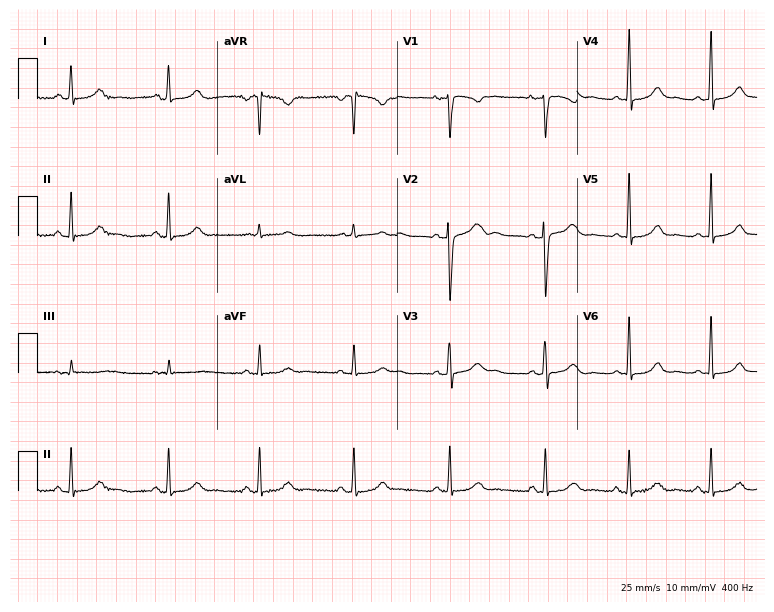
Resting 12-lead electrocardiogram (7.3-second recording at 400 Hz). Patient: a 24-year-old woman. Read as a normal ECG.